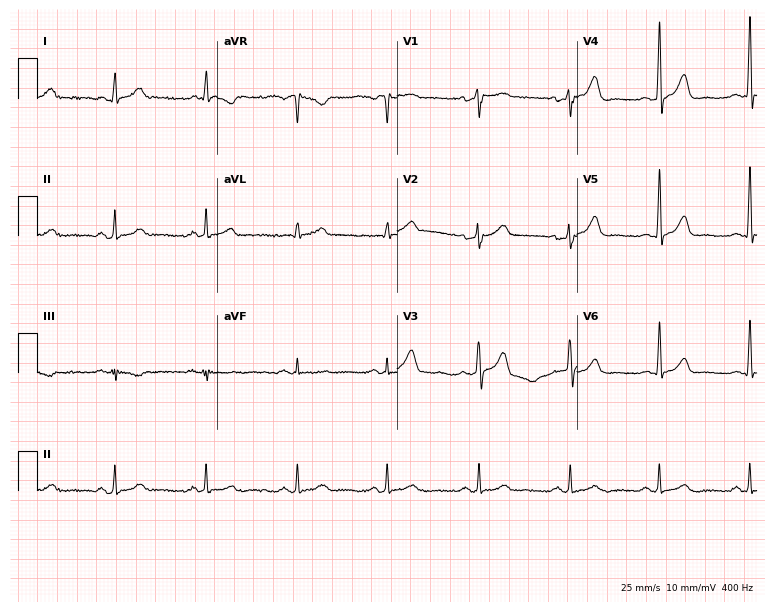
ECG (7.3-second recording at 400 Hz) — a 48-year-old male. Labelled as a normal ECG.